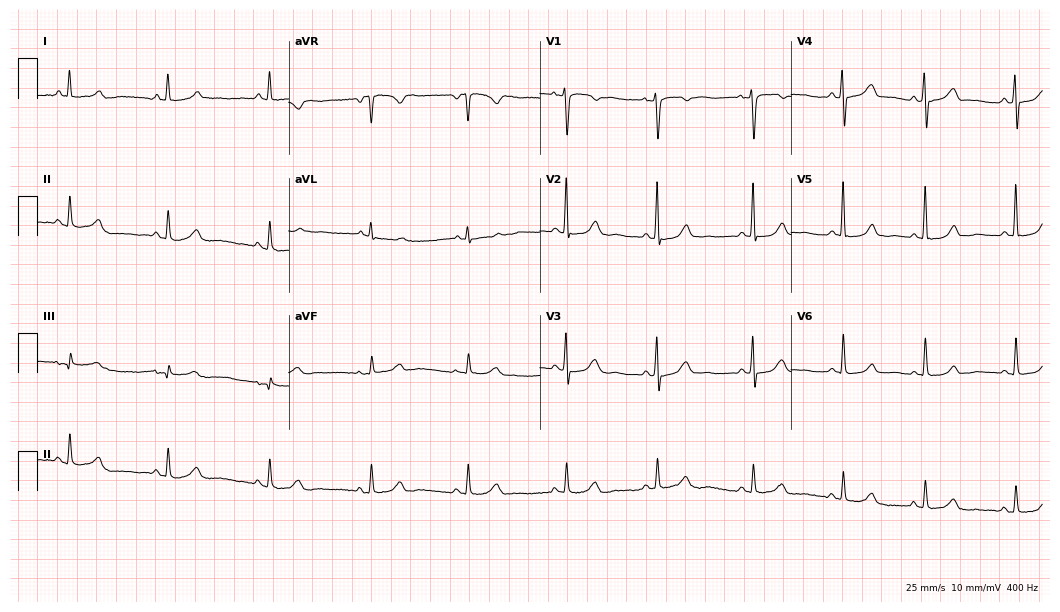
12-lead ECG from a female patient, 60 years old. Labelled as a normal ECG.